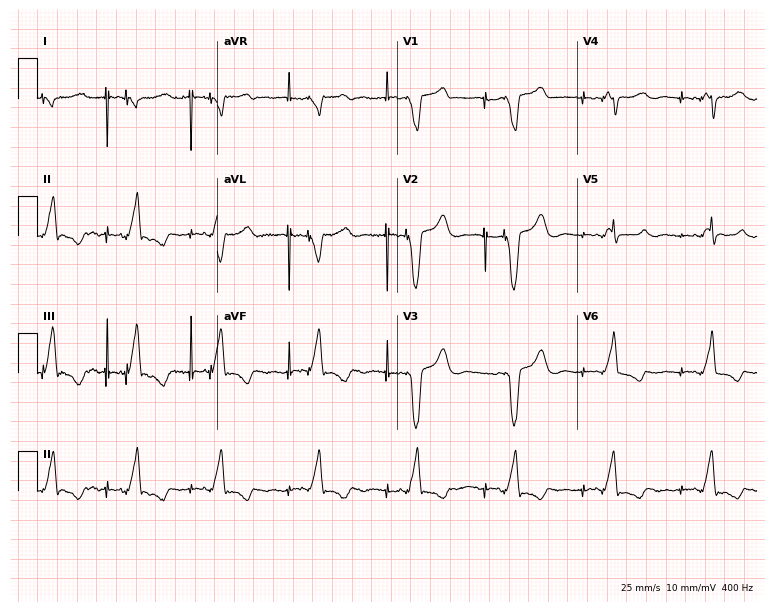
Electrocardiogram, a 73-year-old woman. Of the six screened findings (first-degree AV block, right bundle branch block, left bundle branch block, sinus bradycardia, atrial fibrillation, sinus tachycardia), none is recorded.